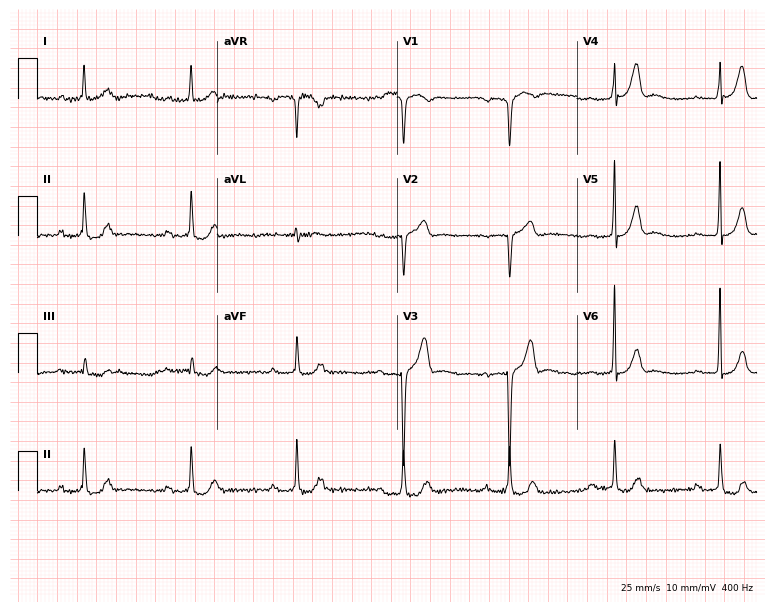
Standard 12-lead ECG recorded from an 83-year-old male patient (7.3-second recording at 400 Hz). The tracing shows first-degree AV block.